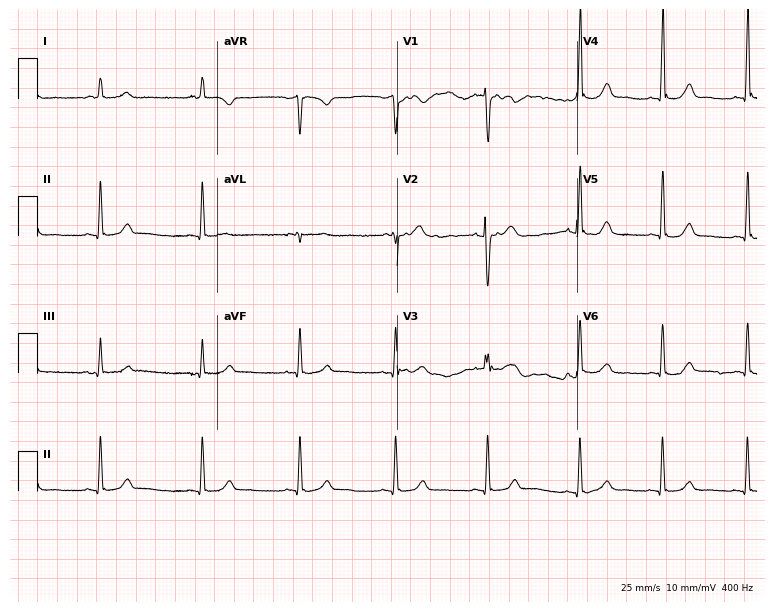
ECG — a 49-year-old woman. Screened for six findings — first-degree AV block, right bundle branch block (RBBB), left bundle branch block (LBBB), sinus bradycardia, atrial fibrillation (AF), sinus tachycardia — none is recorded. Only these six findings were labelled.